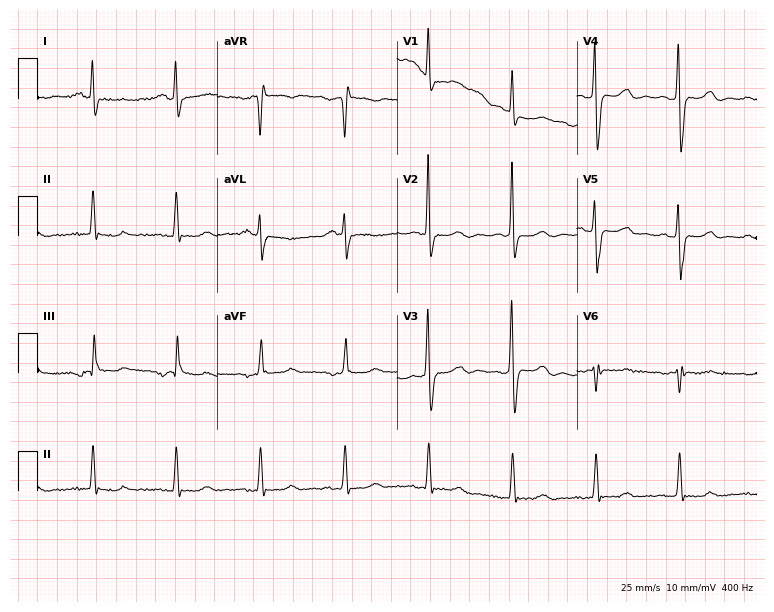
Electrocardiogram (7.3-second recording at 400 Hz), a 74-year-old female. Of the six screened findings (first-degree AV block, right bundle branch block (RBBB), left bundle branch block (LBBB), sinus bradycardia, atrial fibrillation (AF), sinus tachycardia), none is recorded. Other findings, if any, are not listed.